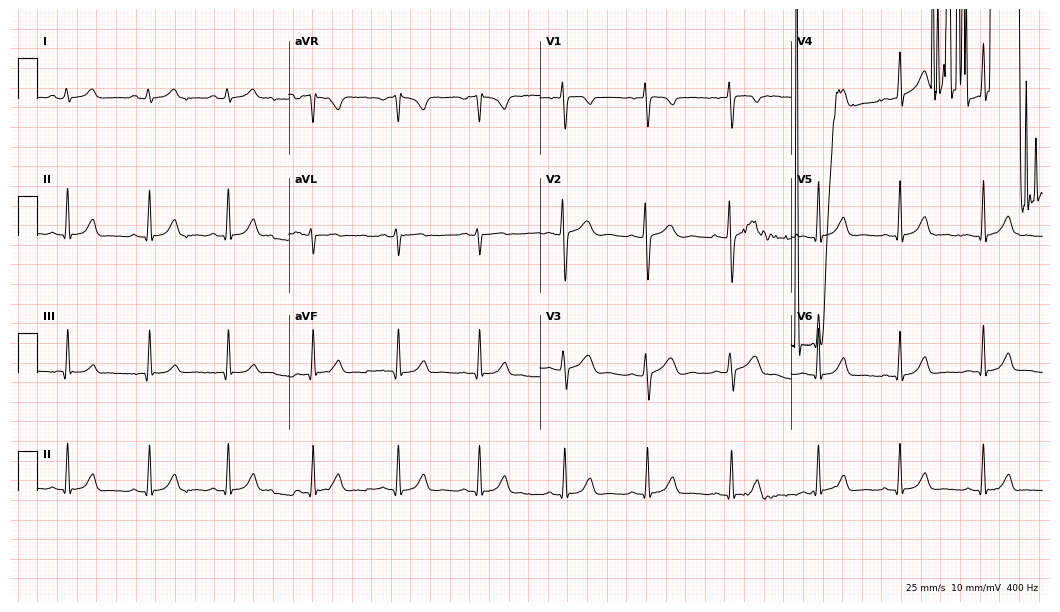
Standard 12-lead ECG recorded from a woman, 18 years old. None of these six findings is recorded: first-degree AV block, right bundle branch block (RBBB), left bundle branch block (LBBB), sinus bradycardia, atrial fibrillation (AF), sinus tachycardia.